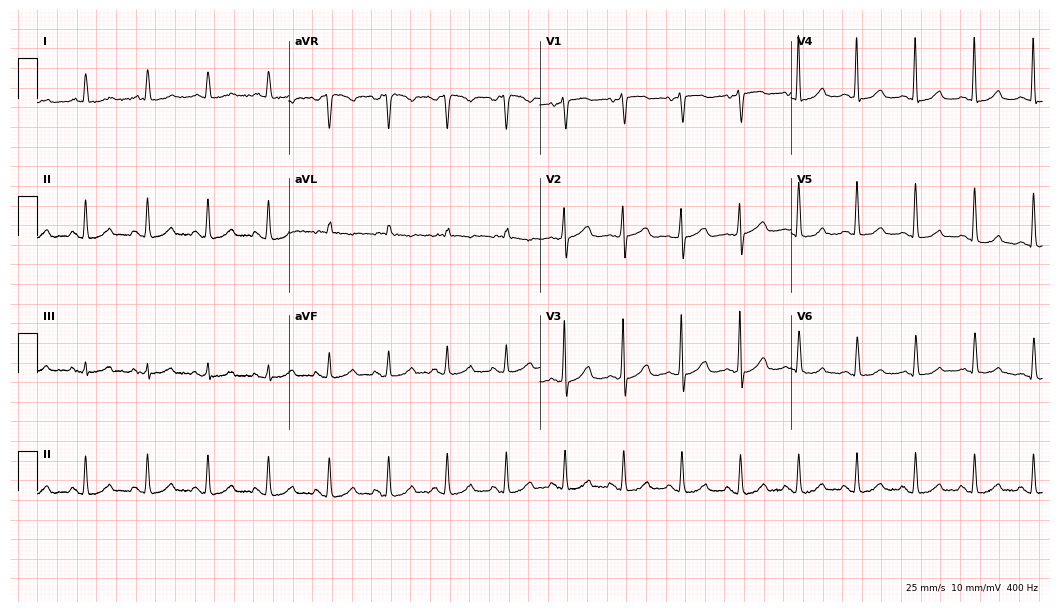
Resting 12-lead electrocardiogram (10.2-second recording at 400 Hz). Patient: a female, 75 years old. Read as a normal ECG.